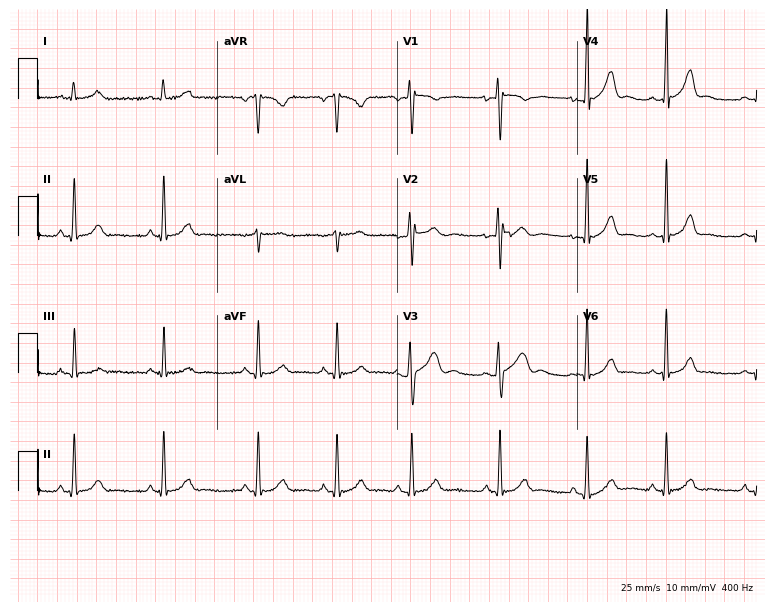
ECG — an 18-year-old female patient. Screened for six findings — first-degree AV block, right bundle branch block, left bundle branch block, sinus bradycardia, atrial fibrillation, sinus tachycardia — none is recorded.